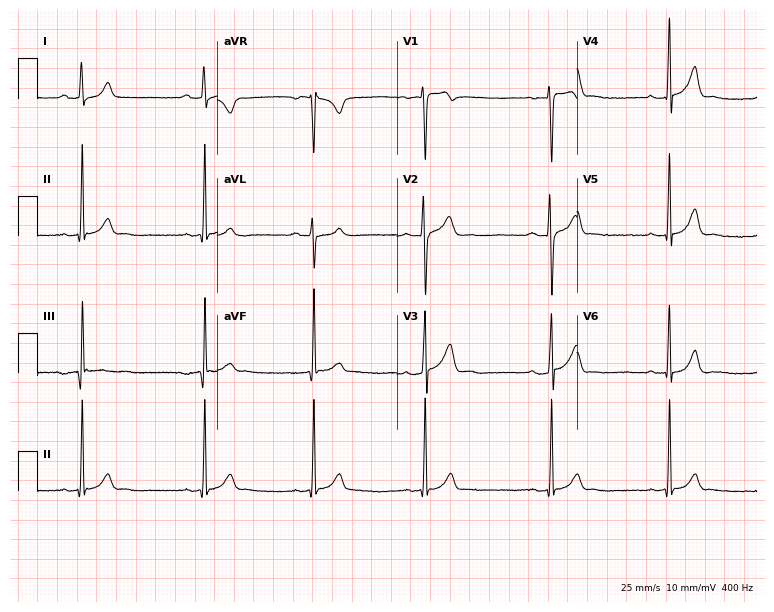
Standard 12-lead ECG recorded from a 19-year-old male patient (7.3-second recording at 400 Hz). Read as a normal ECG.